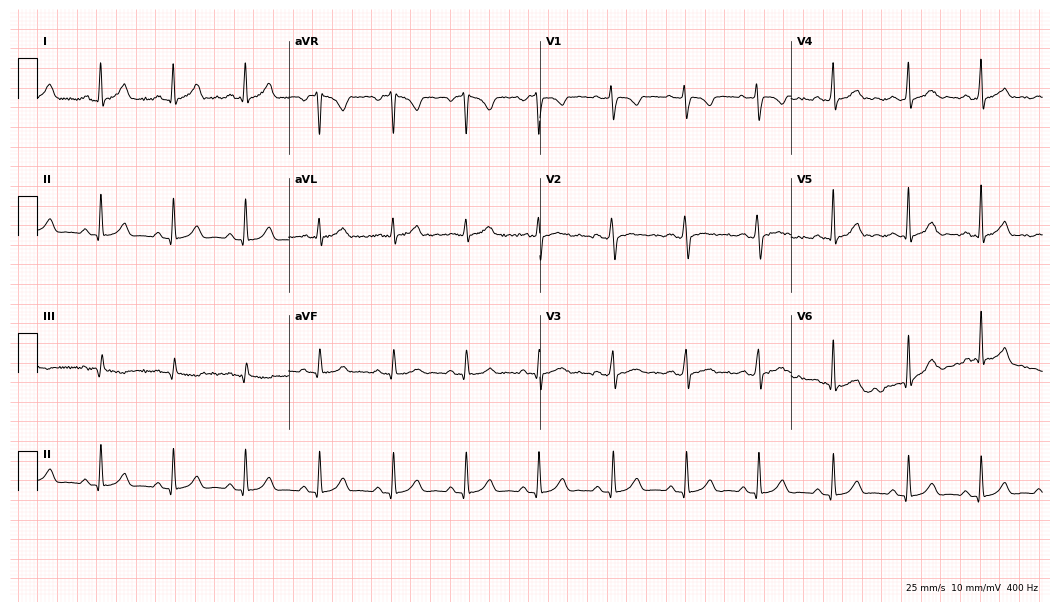
12-lead ECG from a woman, 20 years old (10.2-second recording at 400 Hz). Recorded interpretation: within normal limits.